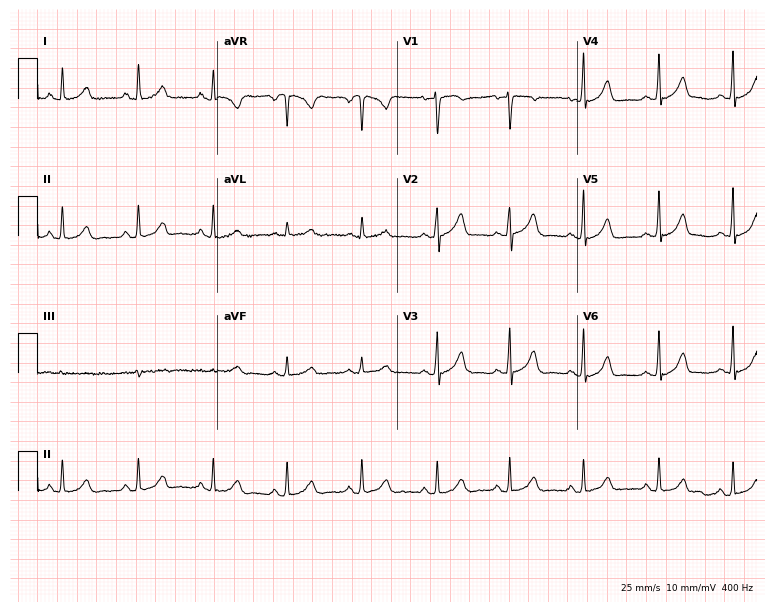
12-lead ECG from a 34-year-old woman. Labelled as a normal ECG.